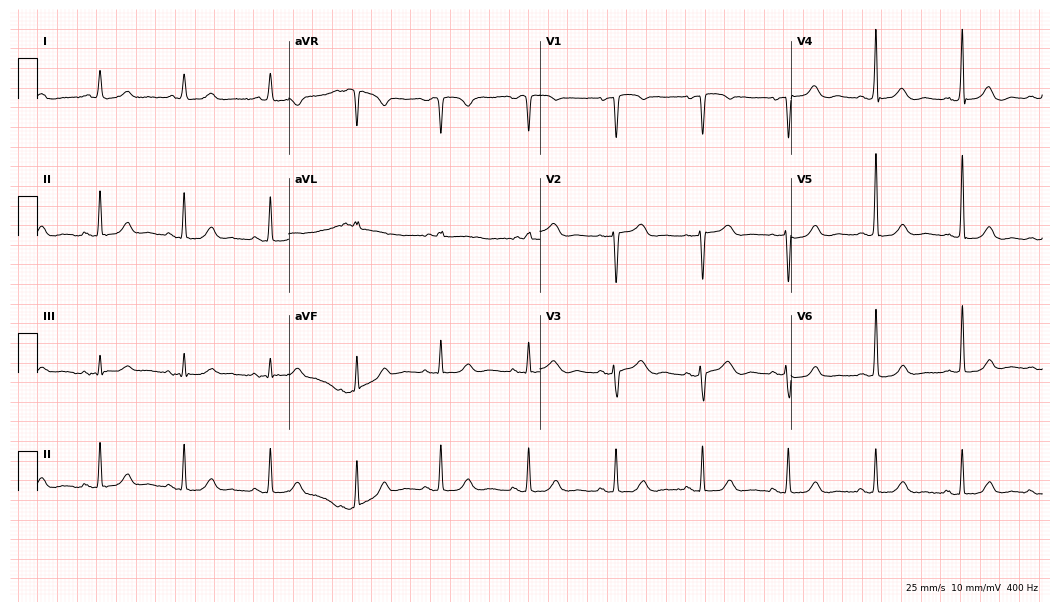
Resting 12-lead electrocardiogram. Patient: an 83-year-old woman. None of these six findings is recorded: first-degree AV block, right bundle branch block, left bundle branch block, sinus bradycardia, atrial fibrillation, sinus tachycardia. Findings outside these six are not listed.